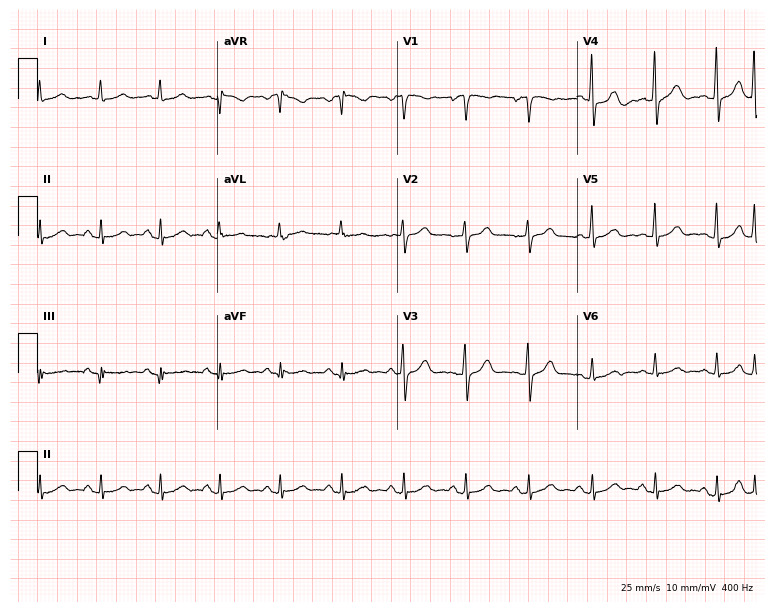
12-lead ECG from a woman, 53 years old (7.3-second recording at 400 Hz). Recorded interpretation: within normal limits.